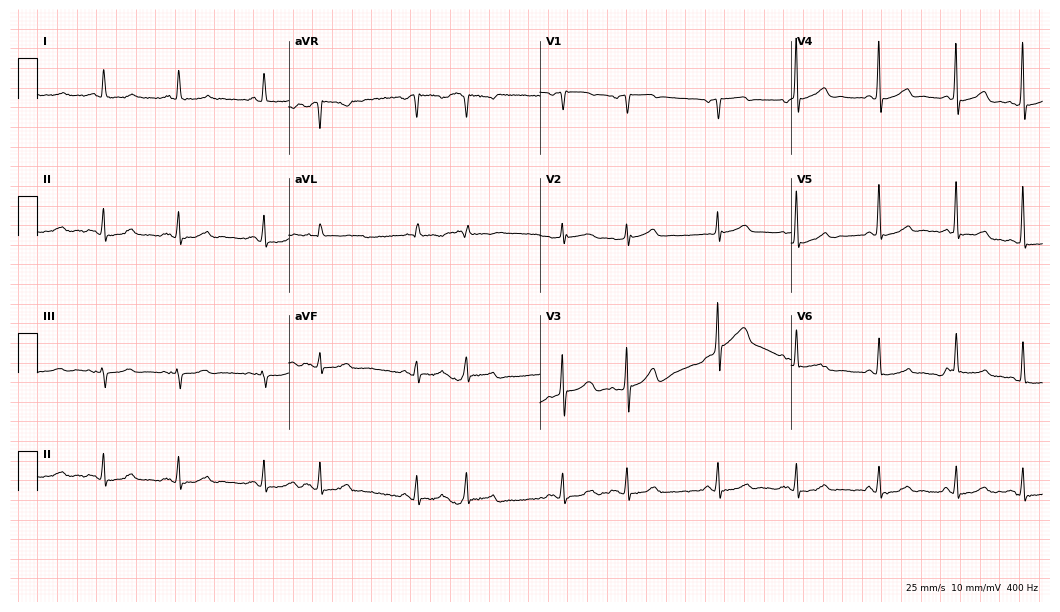
12-lead ECG from a 65-year-old man. Labelled as a normal ECG.